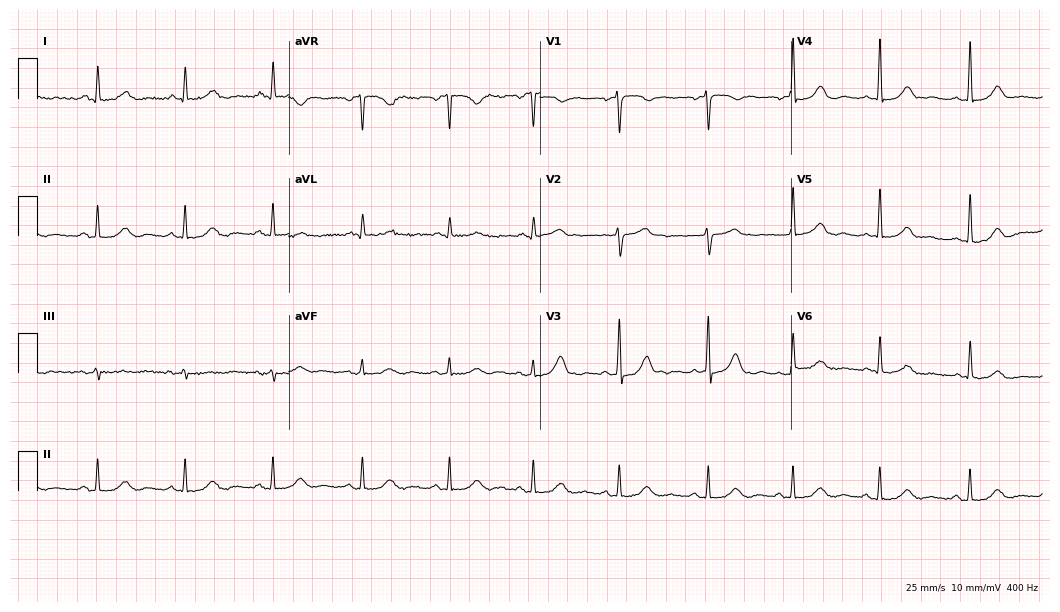
Electrocardiogram, a female, 46 years old. Of the six screened findings (first-degree AV block, right bundle branch block, left bundle branch block, sinus bradycardia, atrial fibrillation, sinus tachycardia), none is recorded.